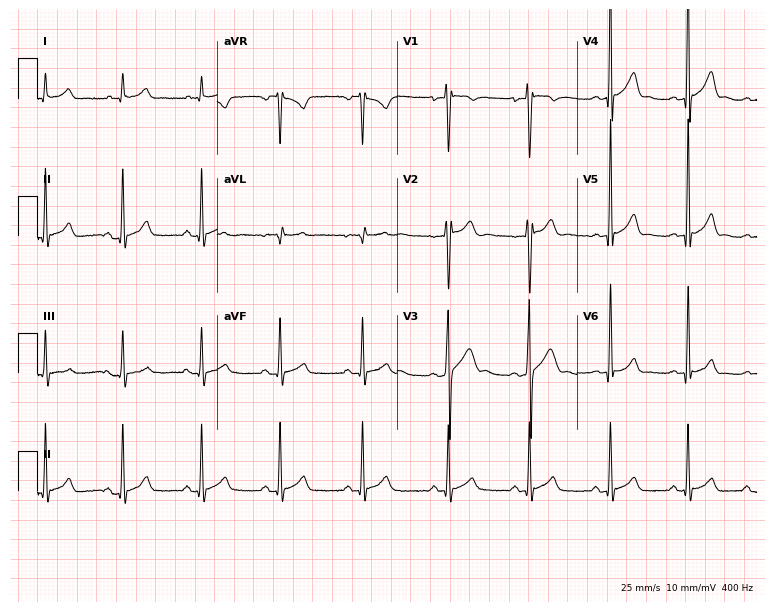
12-lead ECG (7.3-second recording at 400 Hz) from a male, 19 years old. Screened for six findings — first-degree AV block, right bundle branch block (RBBB), left bundle branch block (LBBB), sinus bradycardia, atrial fibrillation (AF), sinus tachycardia — none is recorded.